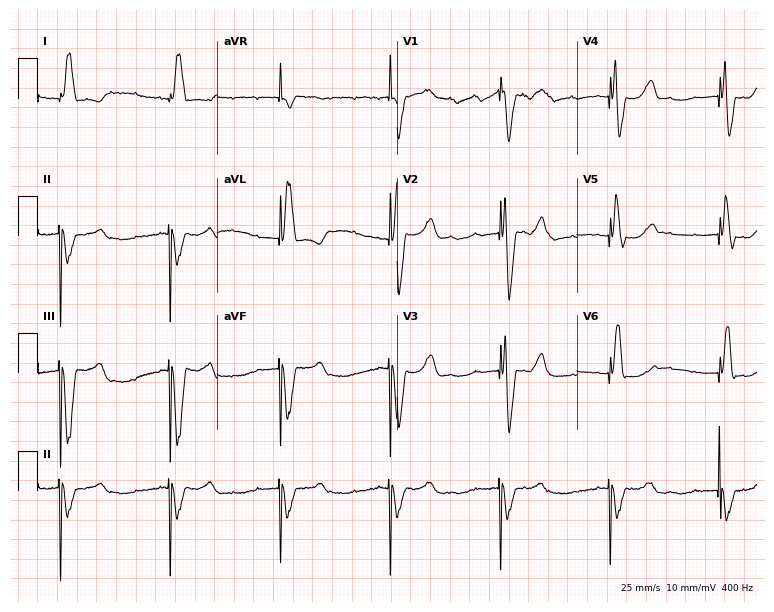
Resting 12-lead electrocardiogram. Patient: a female, 81 years old. None of these six findings is recorded: first-degree AV block, right bundle branch block, left bundle branch block, sinus bradycardia, atrial fibrillation, sinus tachycardia. Findings outside these six are not listed.